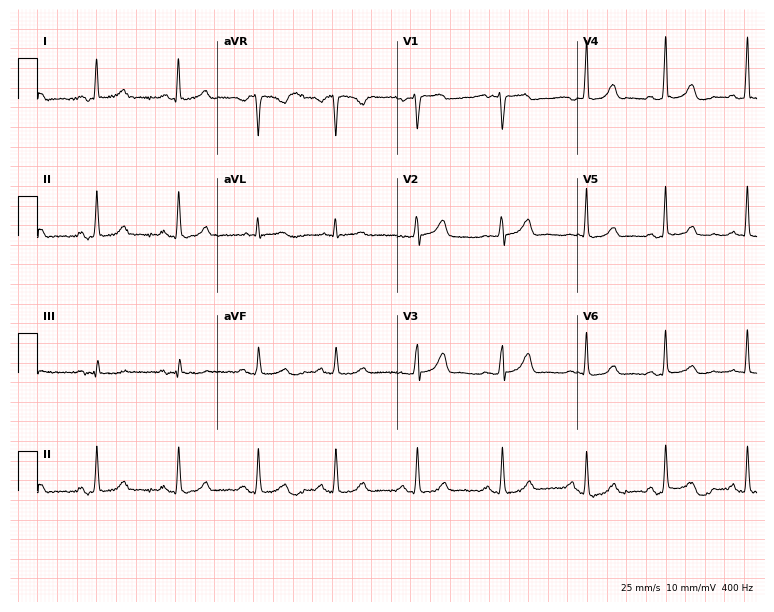
ECG (7.3-second recording at 400 Hz) — a 45-year-old female. Screened for six findings — first-degree AV block, right bundle branch block, left bundle branch block, sinus bradycardia, atrial fibrillation, sinus tachycardia — none is recorded. Findings outside these six are not listed.